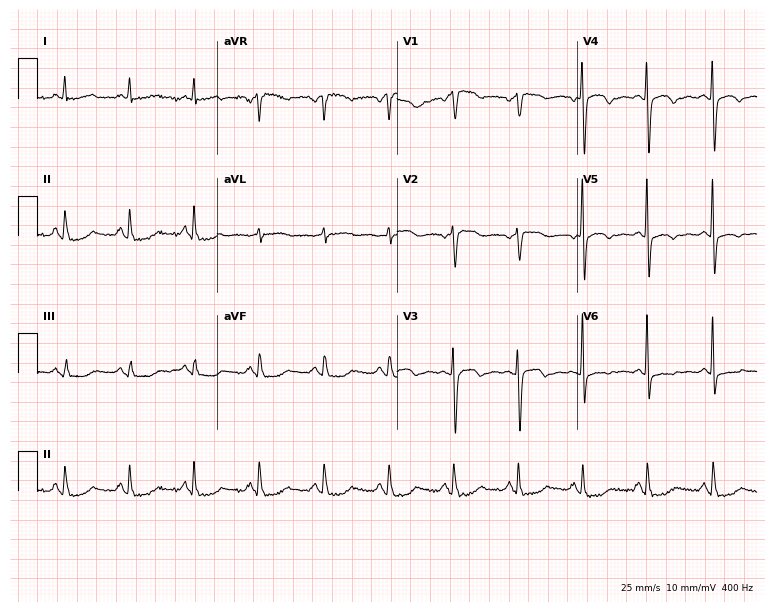
12-lead ECG from an 83-year-old woman (7.3-second recording at 400 Hz). No first-degree AV block, right bundle branch block, left bundle branch block, sinus bradycardia, atrial fibrillation or sinus tachycardia recorded for this tracing. Other findings, if any, are not listed.